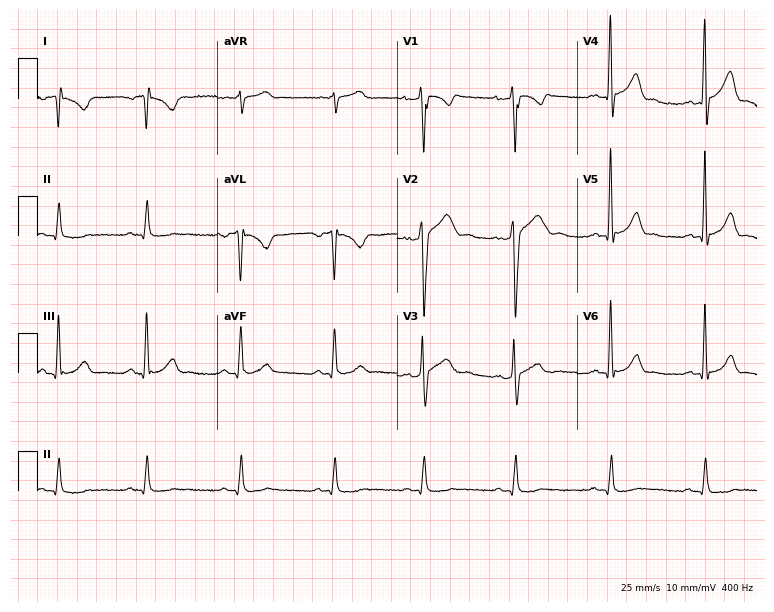
12-lead ECG (7.3-second recording at 400 Hz) from a 24-year-old male patient. Screened for six findings — first-degree AV block, right bundle branch block (RBBB), left bundle branch block (LBBB), sinus bradycardia, atrial fibrillation (AF), sinus tachycardia — none is recorded.